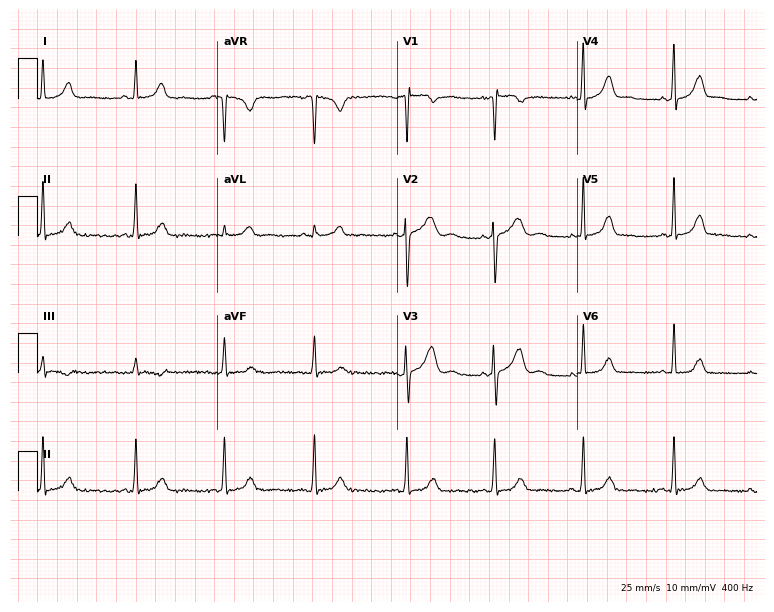
12-lead ECG from a 28-year-old woman (7.3-second recording at 400 Hz). Recorded interpretation: within normal limits.